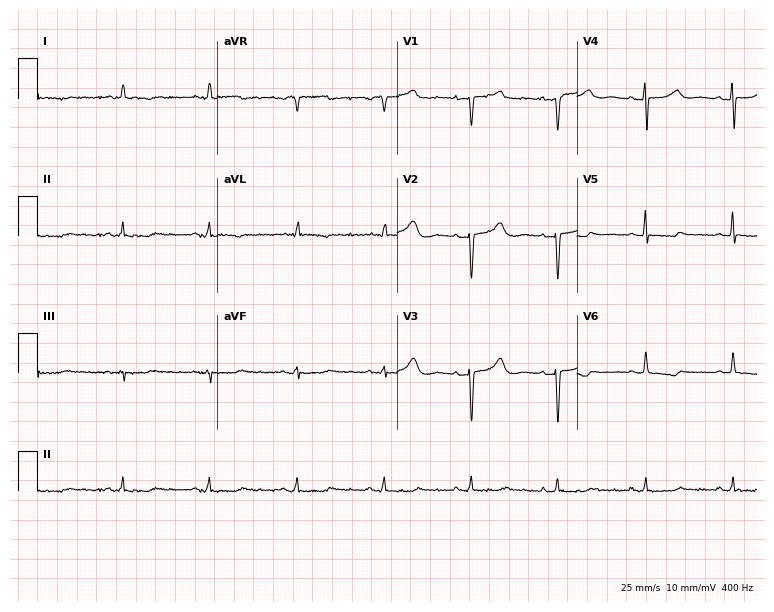
12-lead ECG from a female, 65 years old. Screened for six findings — first-degree AV block, right bundle branch block, left bundle branch block, sinus bradycardia, atrial fibrillation, sinus tachycardia — none is recorded.